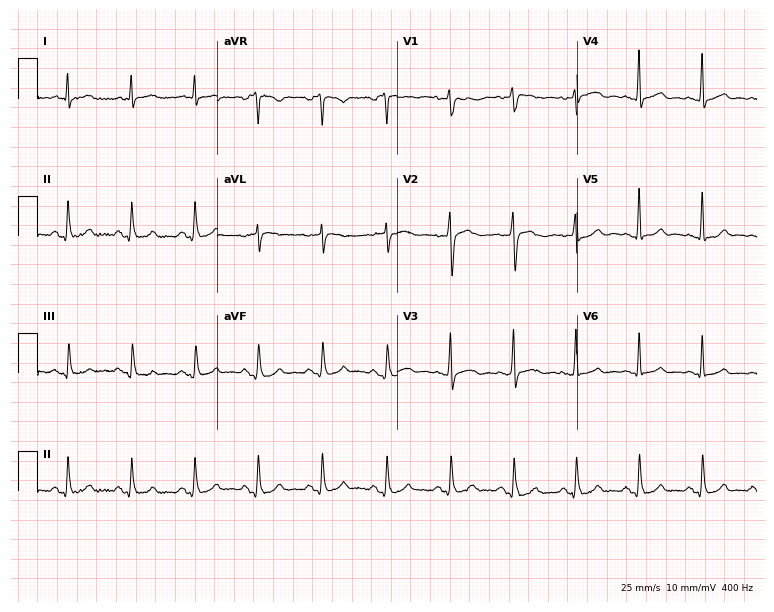
12-lead ECG (7.3-second recording at 400 Hz) from a 47-year-old male patient. Screened for six findings — first-degree AV block, right bundle branch block, left bundle branch block, sinus bradycardia, atrial fibrillation, sinus tachycardia — none is recorded. Findings outside these six are not listed.